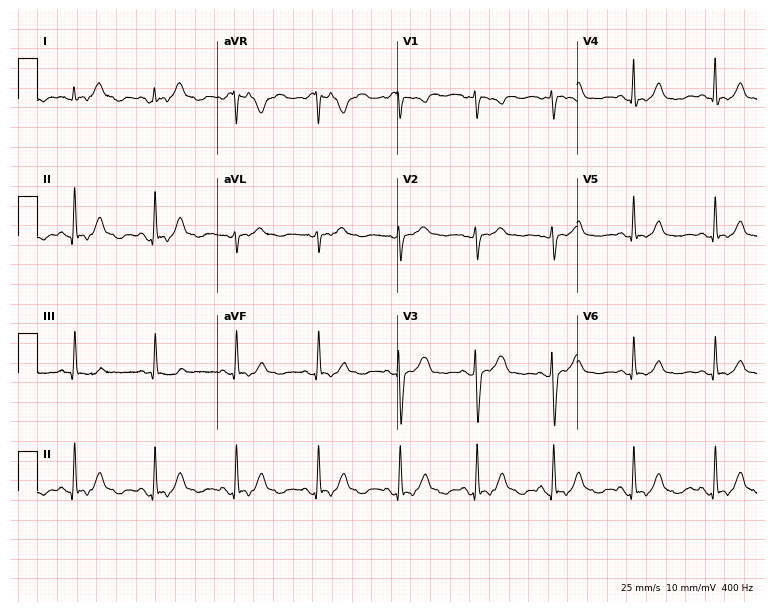
Standard 12-lead ECG recorded from a 39-year-old female patient (7.3-second recording at 400 Hz). Read as a normal ECG.